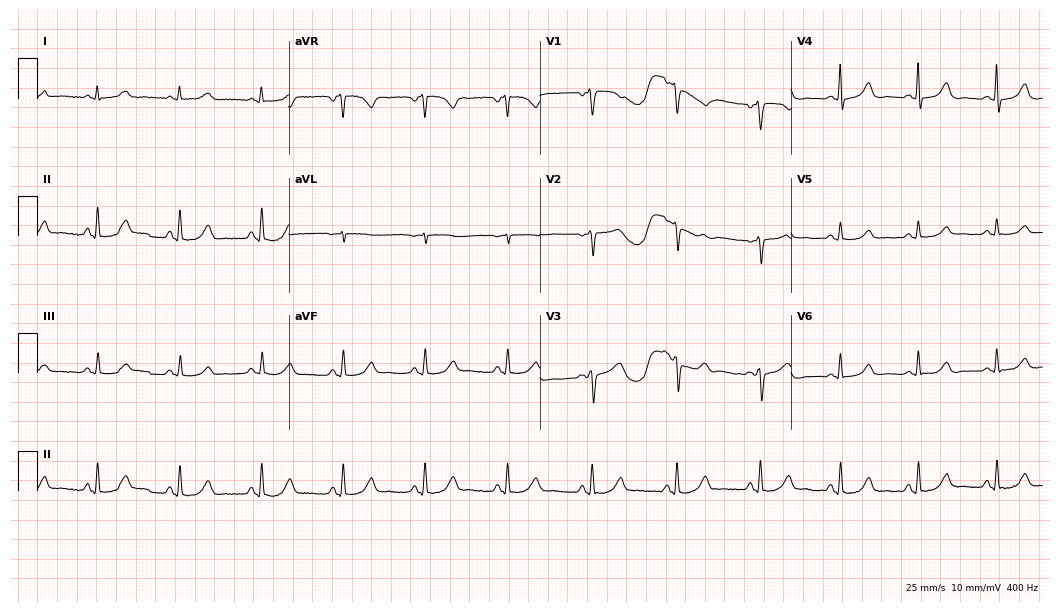
Resting 12-lead electrocardiogram. Patient: a 53-year-old female. Read as a normal ECG.